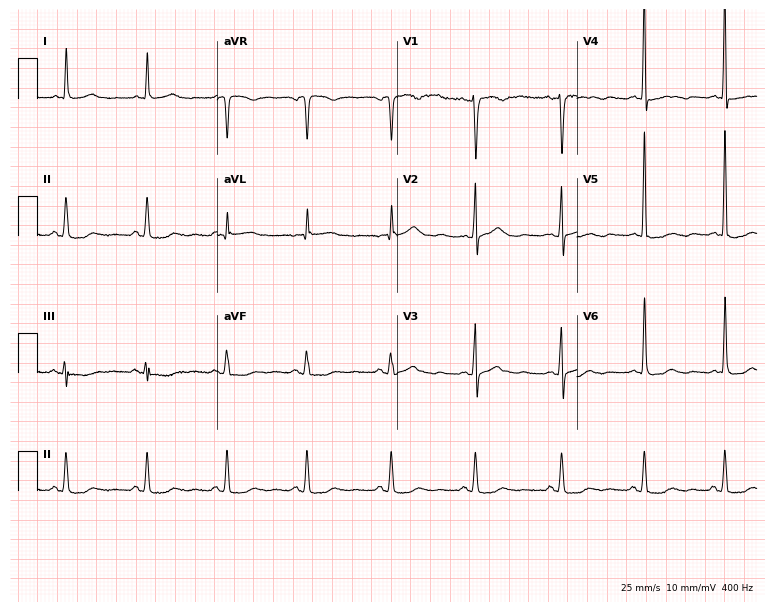
12-lead ECG (7.3-second recording at 400 Hz) from a 64-year-old female. Screened for six findings — first-degree AV block, right bundle branch block, left bundle branch block, sinus bradycardia, atrial fibrillation, sinus tachycardia — none is recorded.